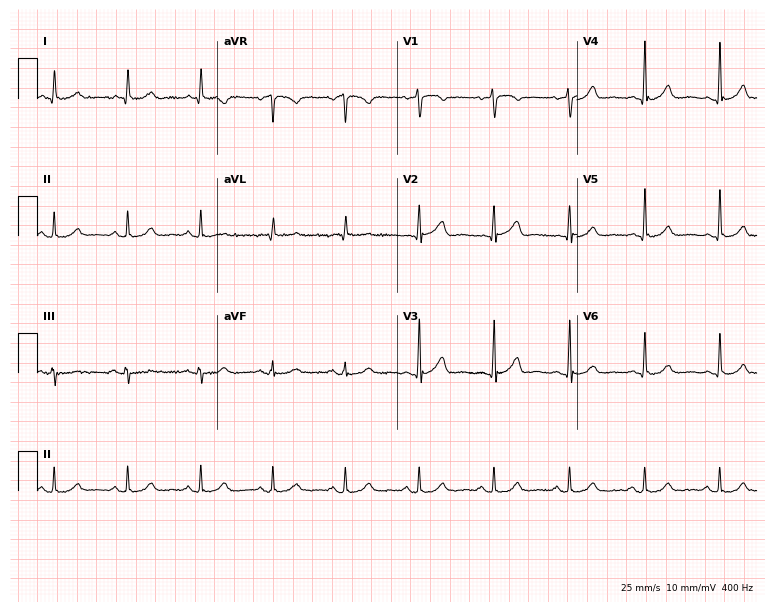
12-lead ECG from a woman, 69 years old. Recorded interpretation: within normal limits.